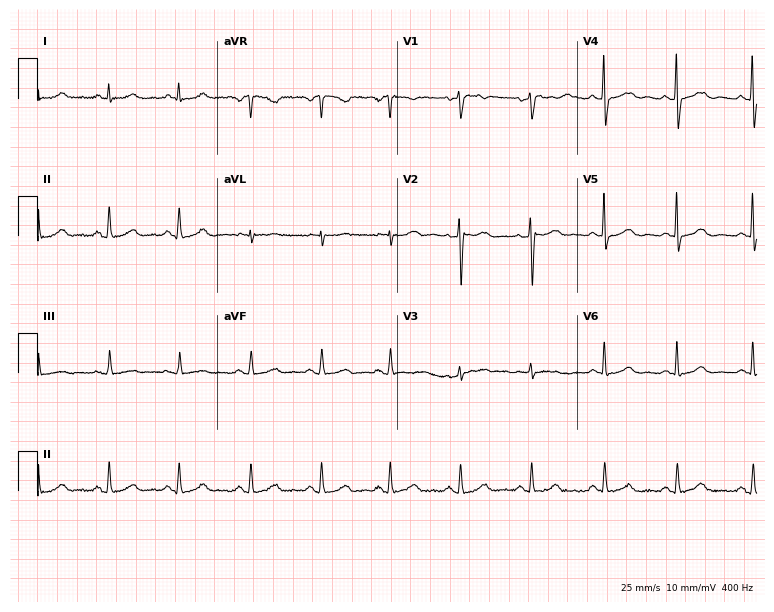
Standard 12-lead ECG recorded from a 37-year-old female patient. Read as a normal ECG.